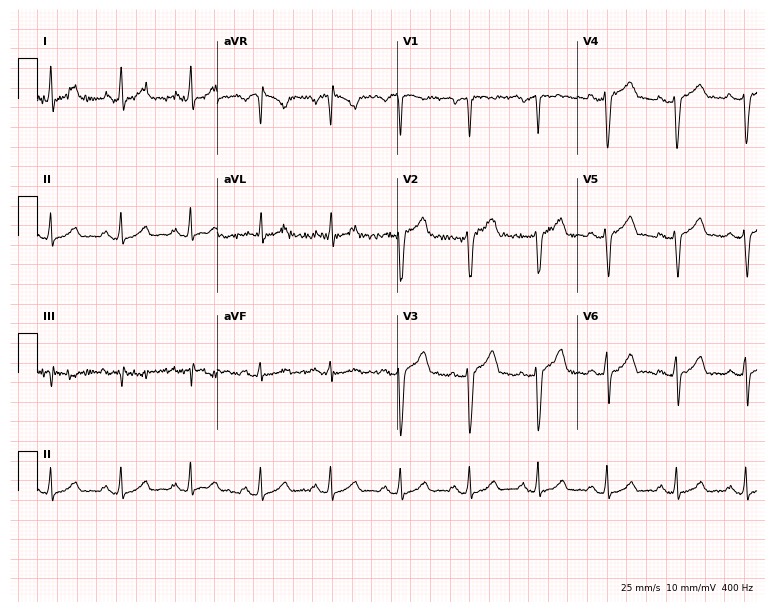
Electrocardiogram, a male patient, 68 years old. Of the six screened findings (first-degree AV block, right bundle branch block (RBBB), left bundle branch block (LBBB), sinus bradycardia, atrial fibrillation (AF), sinus tachycardia), none is recorded.